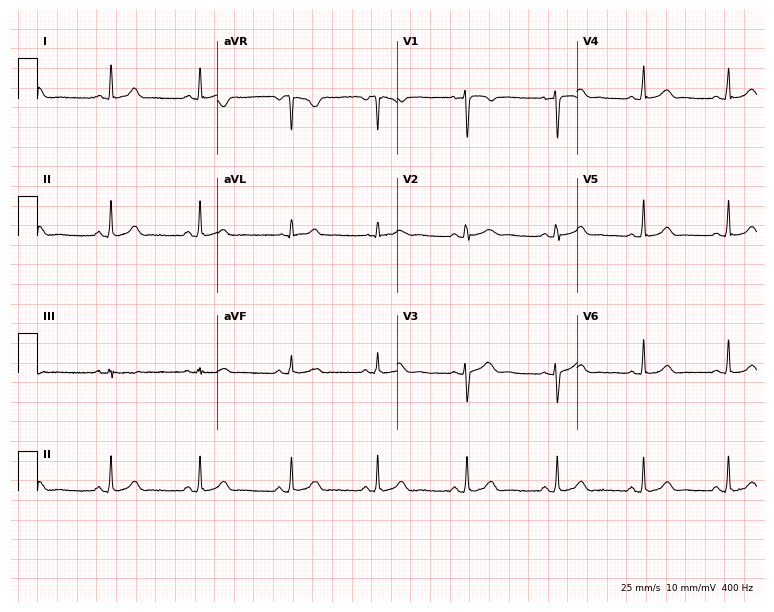
Electrocardiogram (7.3-second recording at 400 Hz), a 24-year-old female. Overall reading on record: normal ECG.